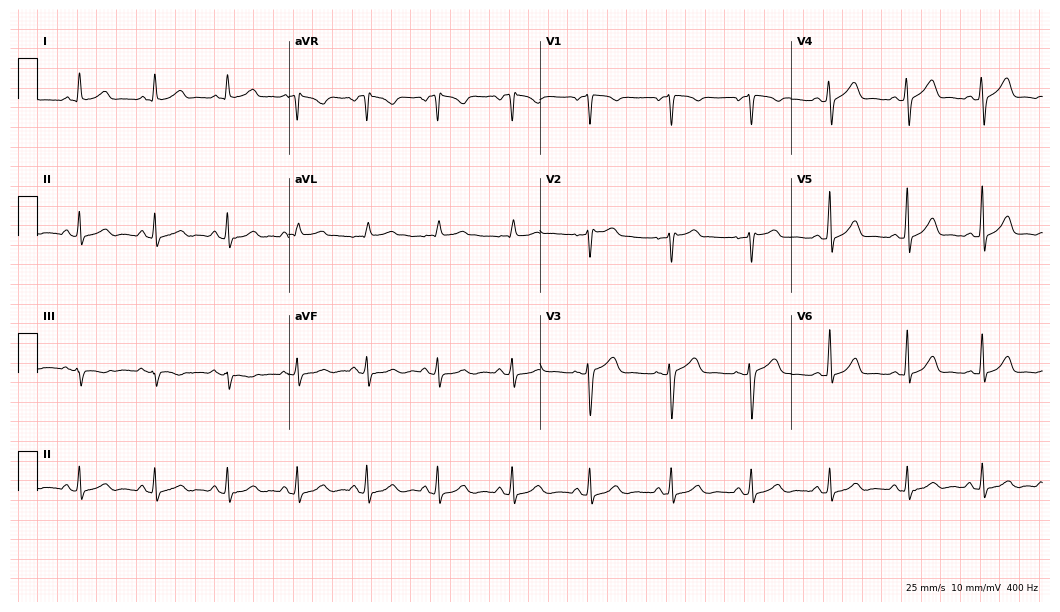
12-lead ECG from a female patient, 50 years old. Labelled as a normal ECG.